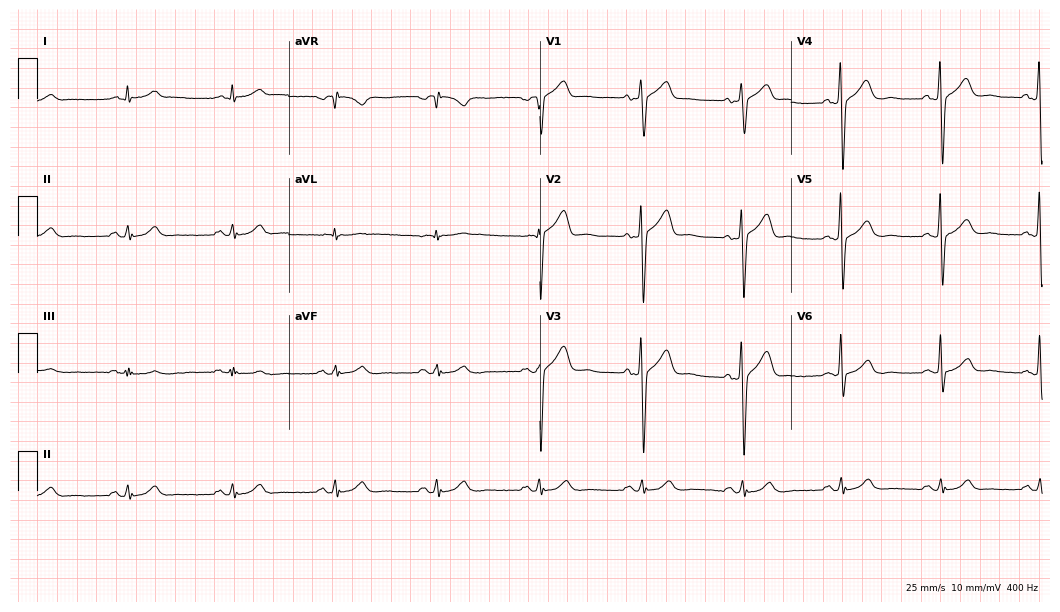
Standard 12-lead ECG recorded from a man, 61 years old. Read as a normal ECG.